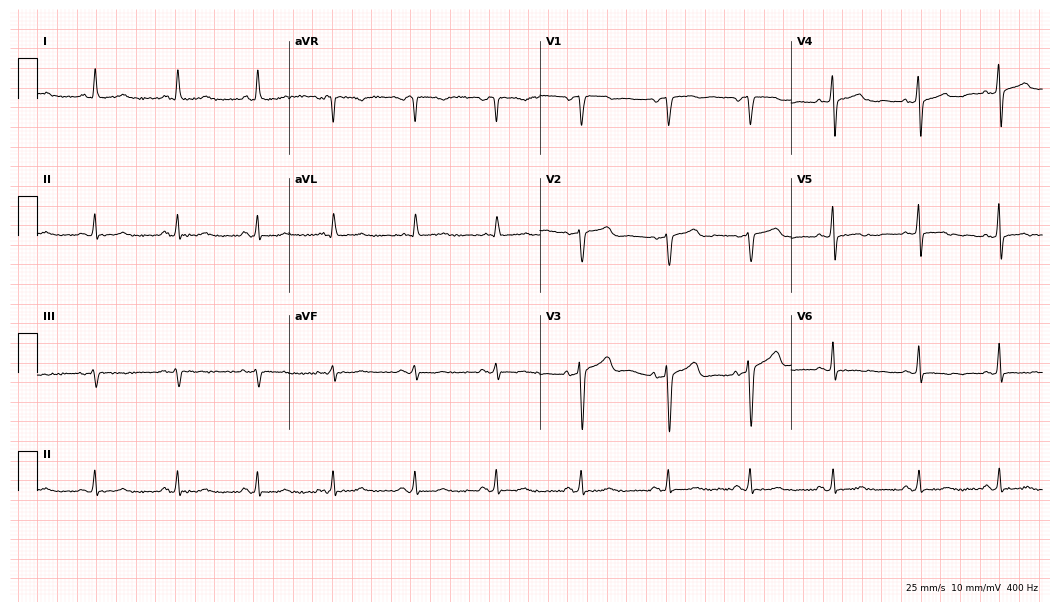
12-lead ECG (10.2-second recording at 400 Hz) from a 61-year-old female. Screened for six findings — first-degree AV block, right bundle branch block (RBBB), left bundle branch block (LBBB), sinus bradycardia, atrial fibrillation (AF), sinus tachycardia — none is recorded. Findings outside these six are not listed.